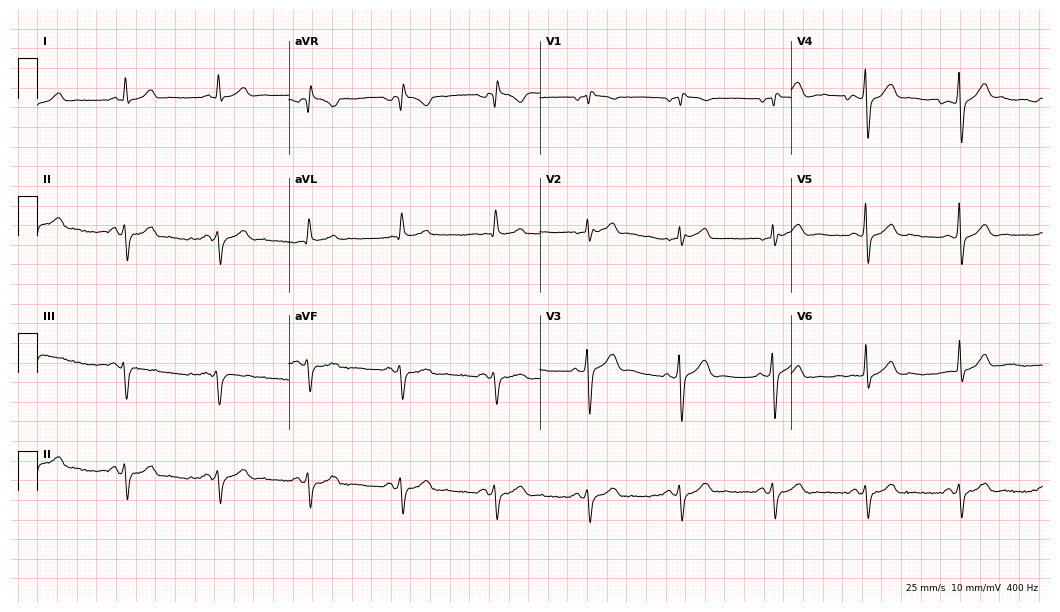
Standard 12-lead ECG recorded from a 69-year-old man (10.2-second recording at 400 Hz). None of these six findings is recorded: first-degree AV block, right bundle branch block, left bundle branch block, sinus bradycardia, atrial fibrillation, sinus tachycardia. Findings outside these six are not listed.